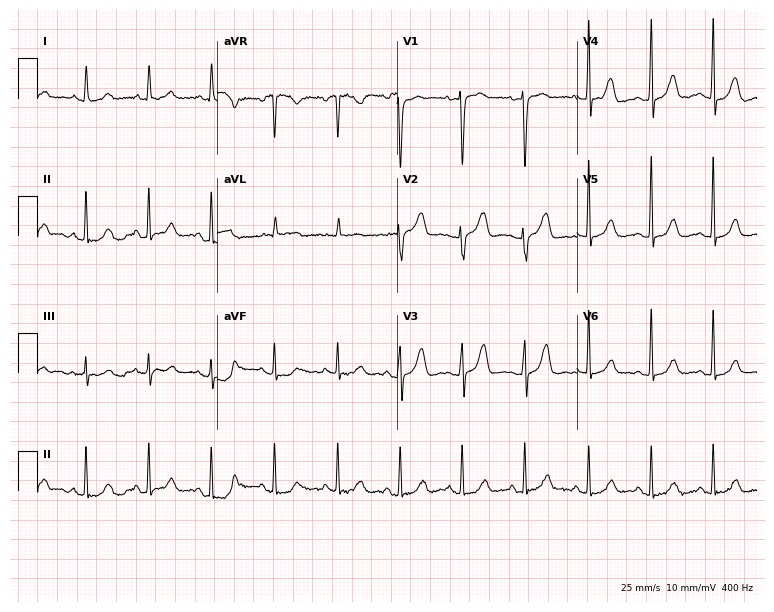
ECG — a female, 65 years old. Screened for six findings — first-degree AV block, right bundle branch block (RBBB), left bundle branch block (LBBB), sinus bradycardia, atrial fibrillation (AF), sinus tachycardia — none is recorded. Only these six findings were labelled.